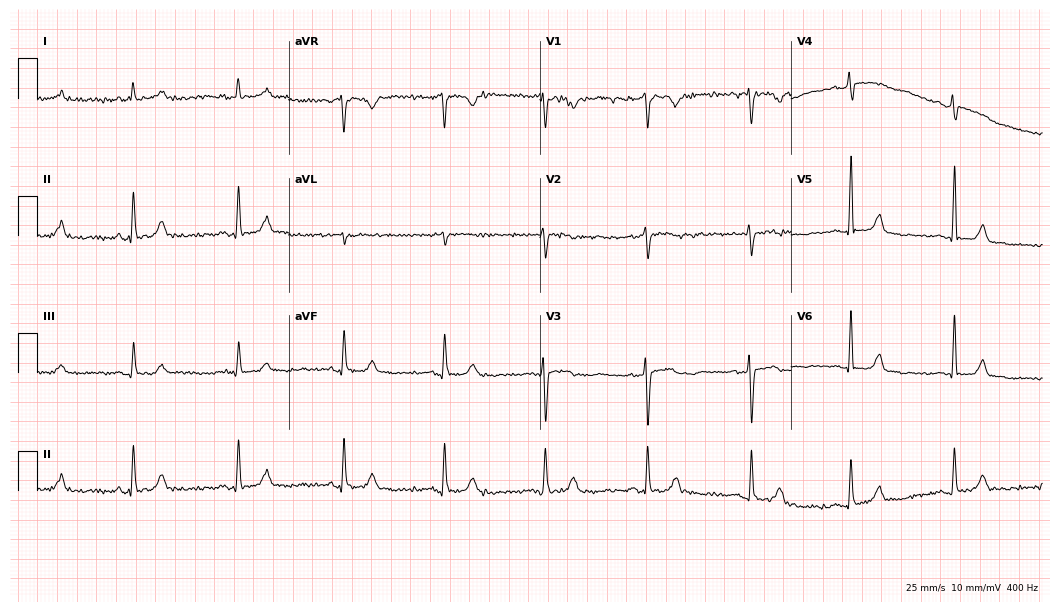
12-lead ECG from a 59-year-old female patient (10.2-second recording at 400 Hz). Recorded interpretation: within normal limits.